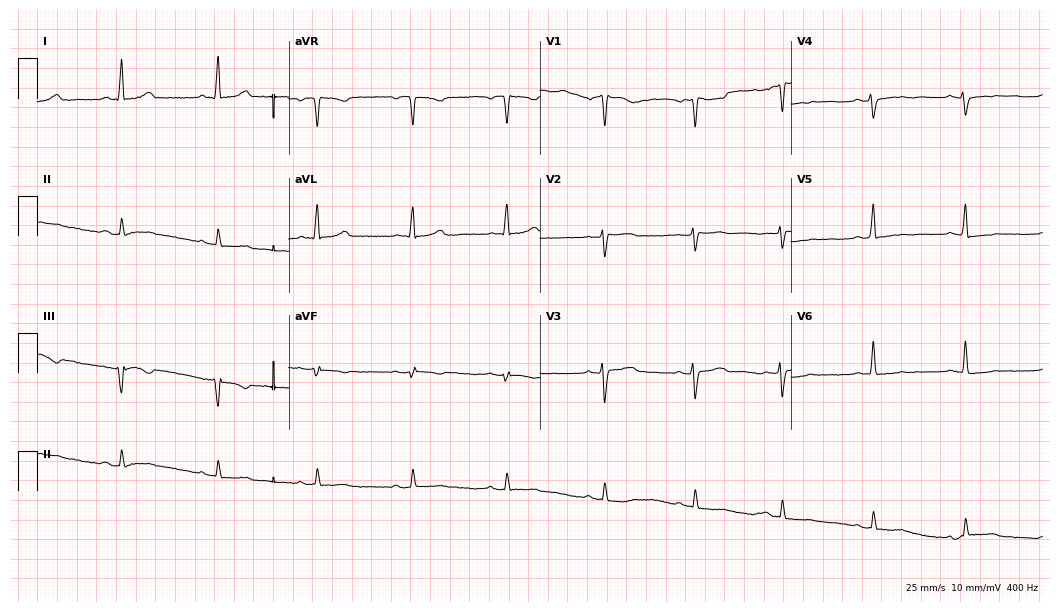
Electrocardiogram, a 47-year-old woman. Of the six screened findings (first-degree AV block, right bundle branch block, left bundle branch block, sinus bradycardia, atrial fibrillation, sinus tachycardia), none is recorded. Findings outside these six are not listed.